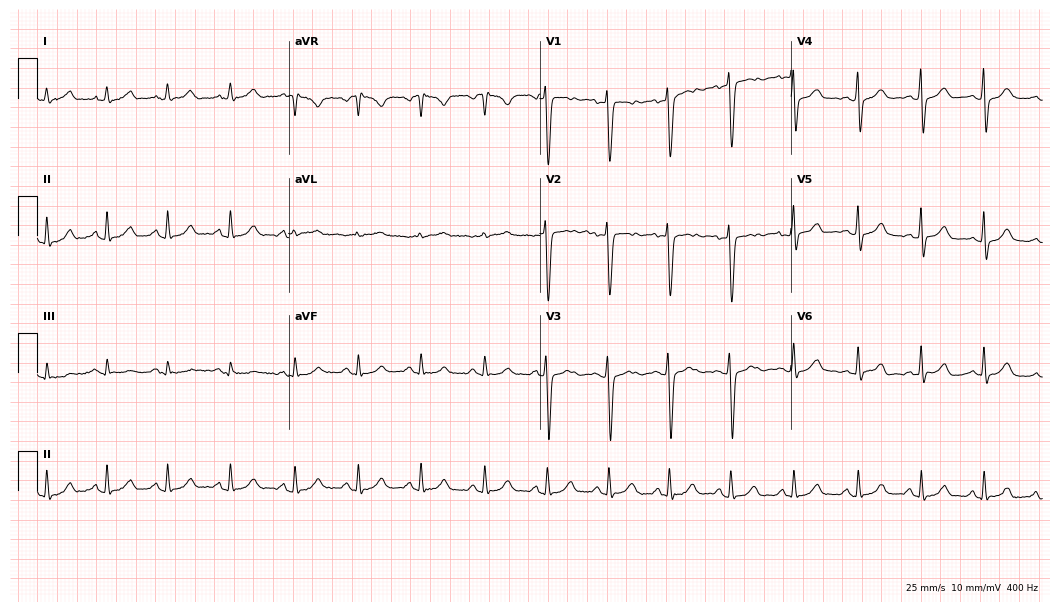
Electrocardiogram (10.2-second recording at 400 Hz), a female, 22 years old. Overall reading on record: normal ECG.